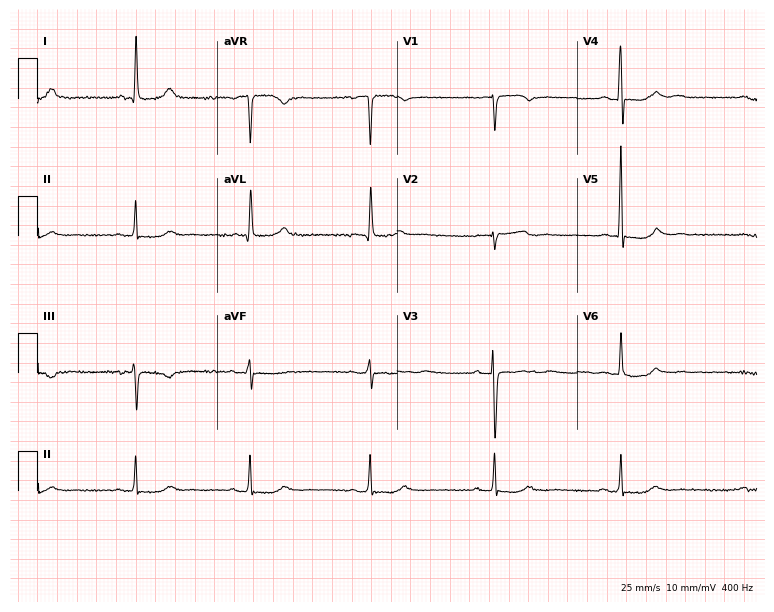
Electrocardiogram (7.3-second recording at 400 Hz), a 69-year-old female. Of the six screened findings (first-degree AV block, right bundle branch block, left bundle branch block, sinus bradycardia, atrial fibrillation, sinus tachycardia), none is recorded.